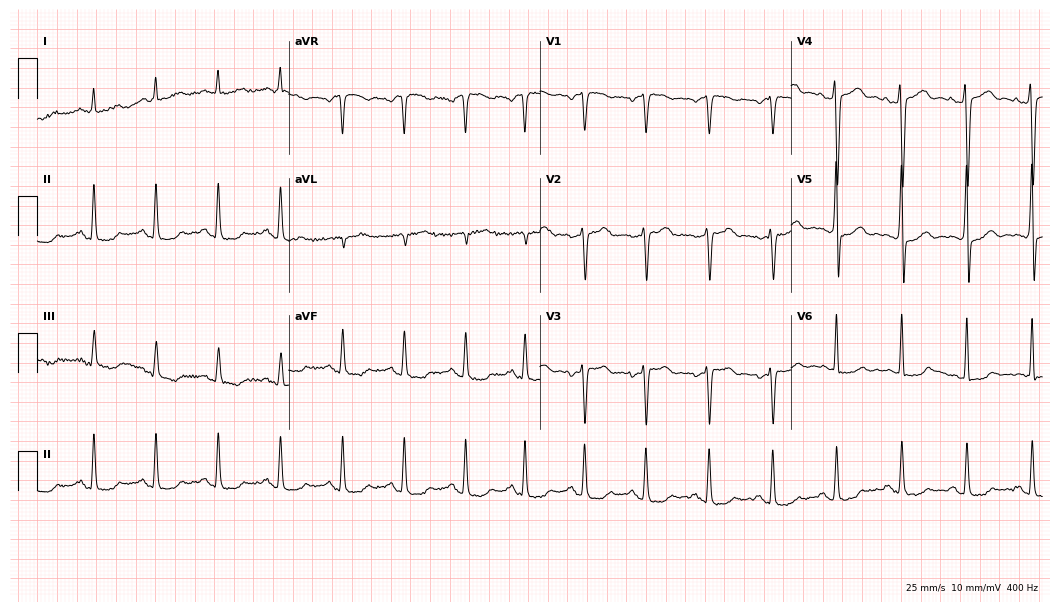
12-lead ECG from a 41-year-old man. Labelled as a normal ECG.